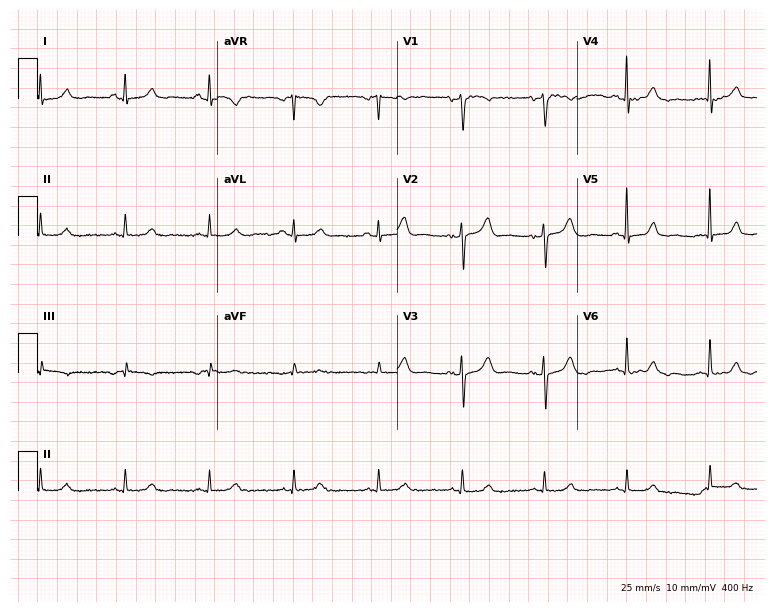
12-lead ECG from an 84-year-old female patient. Labelled as a normal ECG.